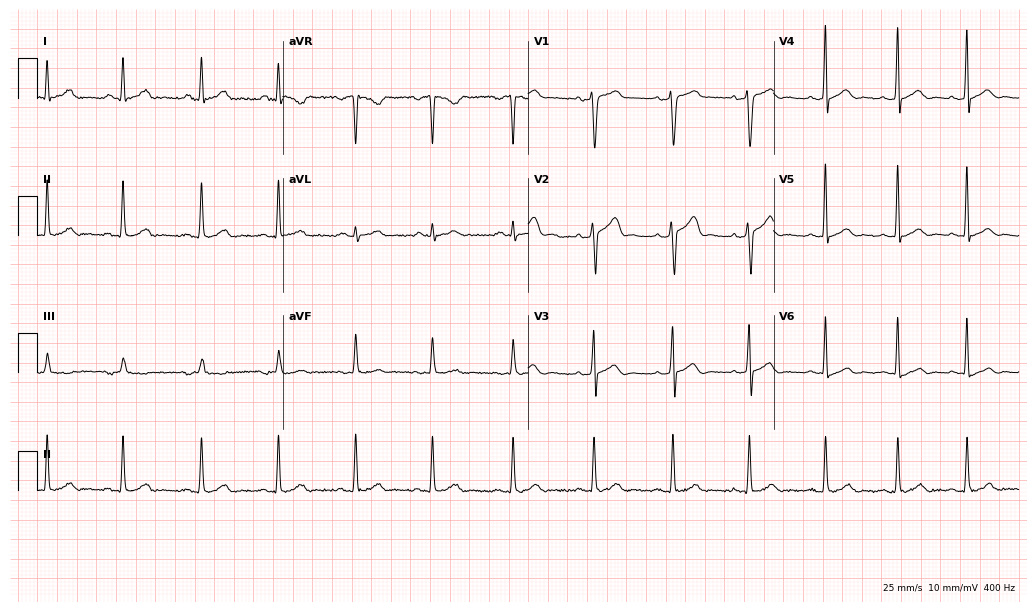
Resting 12-lead electrocardiogram (10-second recording at 400 Hz). Patient: a 26-year-old man. None of these six findings is recorded: first-degree AV block, right bundle branch block, left bundle branch block, sinus bradycardia, atrial fibrillation, sinus tachycardia.